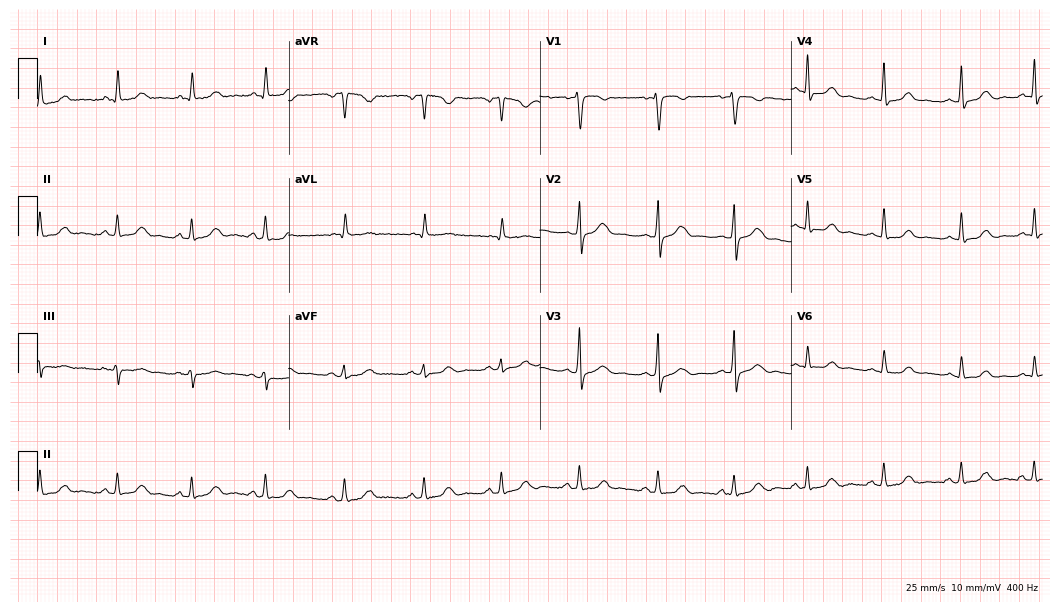
12-lead ECG from a 30-year-old female. Screened for six findings — first-degree AV block, right bundle branch block, left bundle branch block, sinus bradycardia, atrial fibrillation, sinus tachycardia — none is recorded. Findings outside these six are not listed.